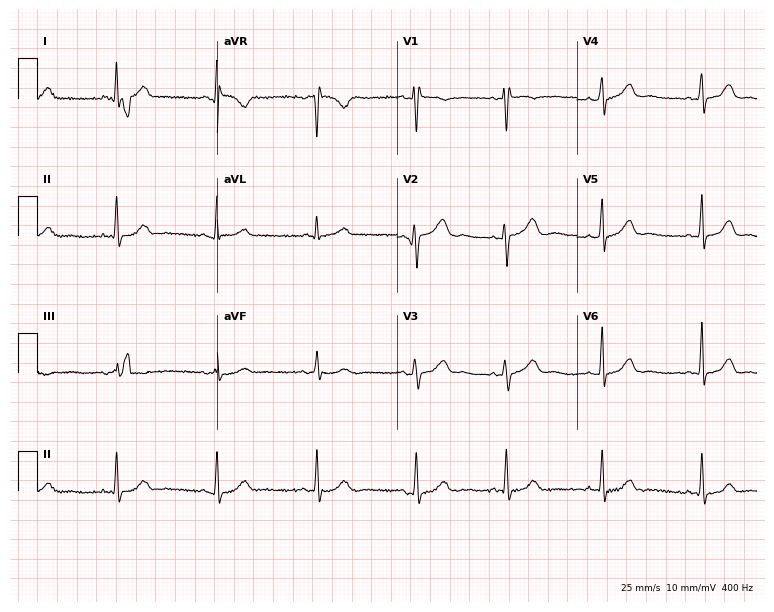
Standard 12-lead ECG recorded from a woman, 49 years old (7.3-second recording at 400 Hz). None of these six findings is recorded: first-degree AV block, right bundle branch block (RBBB), left bundle branch block (LBBB), sinus bradycardia, atrial fibrillation (AF), sinus tachycardia.